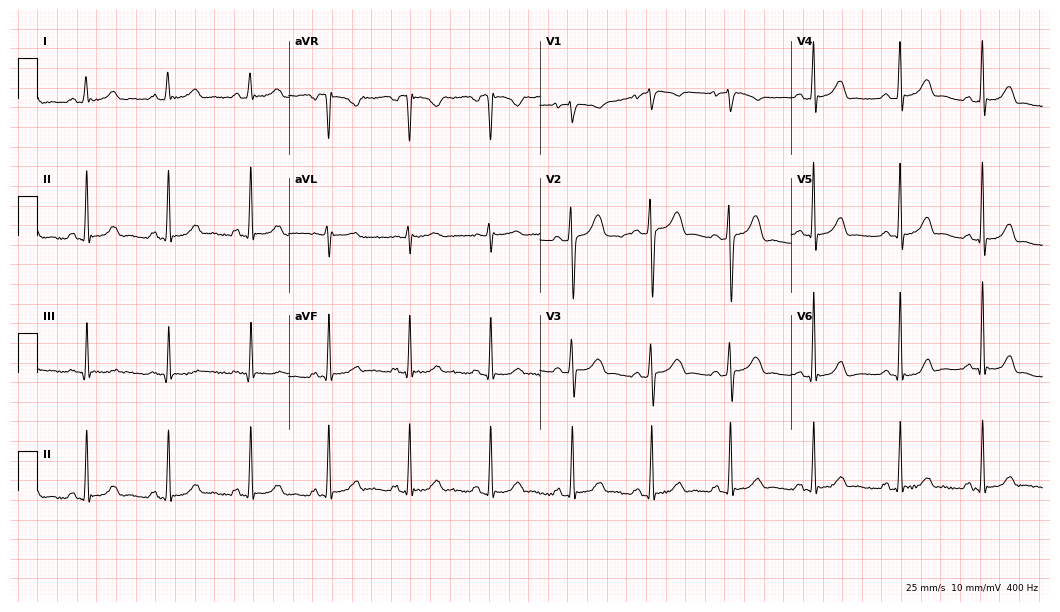
Standard 12-lead ECG recorded from a female, 31 years old (10.2-second recording at 400 Hz). Read as a normal ECG.